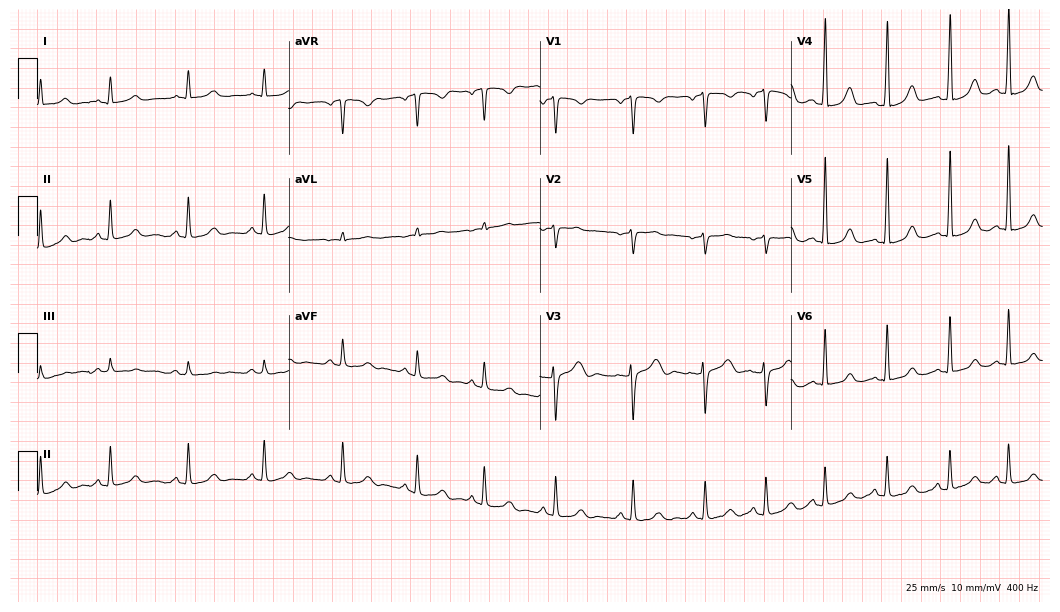
12-lead ECG from a 31-year-old female (10.2-second recording at 400 Hz). Recorded interpretation: within normal limits.